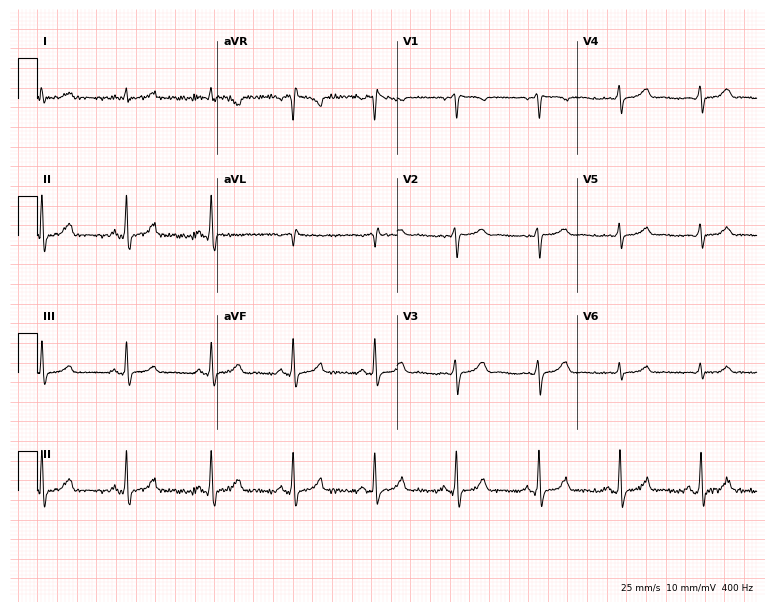
12-lead ECG from a 24-year-old woman. No first-degree AV block, right bundle branch block, left bundle branch block, sinus bradycardia, atrial fibrillation or sinus tachycardia recorded for this tracing. Only these six findings were labelled.